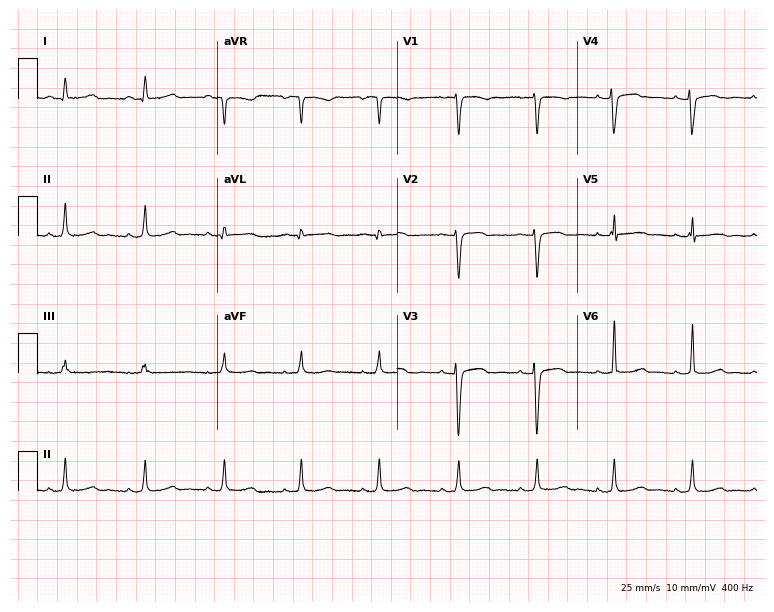
12-lead ECG from a 50-year-old female. Screened for six findings — first-degree AV block, right bundle branch block, left bundle branch block, sinus bradycardia, atrial fibrillation, sinus tachycardia — none is recorded.